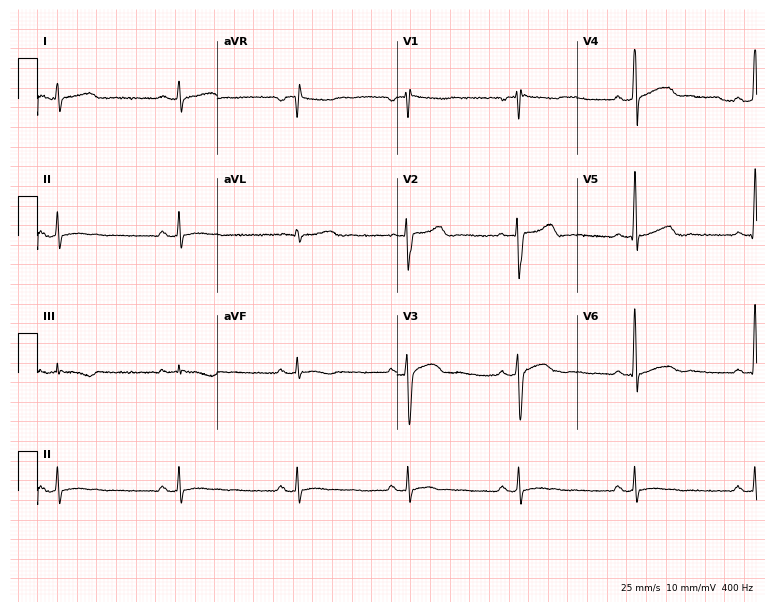
12-lead ECG from a male, 20 years old. Findings include sinus bradycardia (a sinus rate of 50 beats per minute or less).